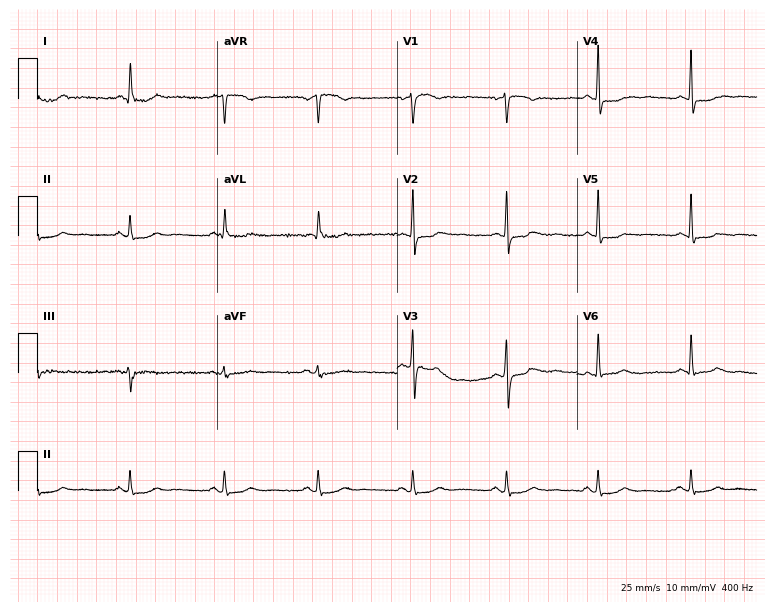
ECG — a 66-year-old woman. Screened for six findings — first-degree AV block, right bundle branch block, left bundle branch block, sinus bradycardia, atrial fibrillation, sinus tachycardia — none is recorded.